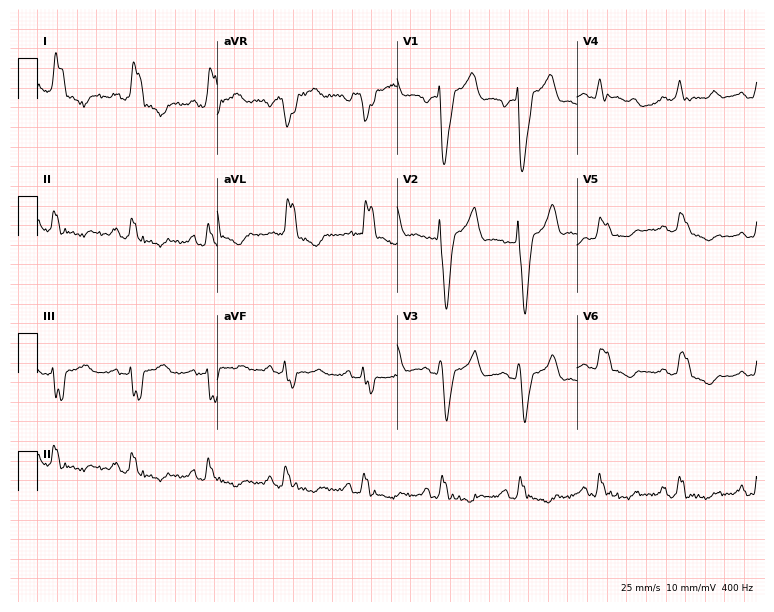
12-lead ECG (7.3-second recording at 400 Hz) from a 76-year-old male. Findings include left bundle branch block (LBBB).